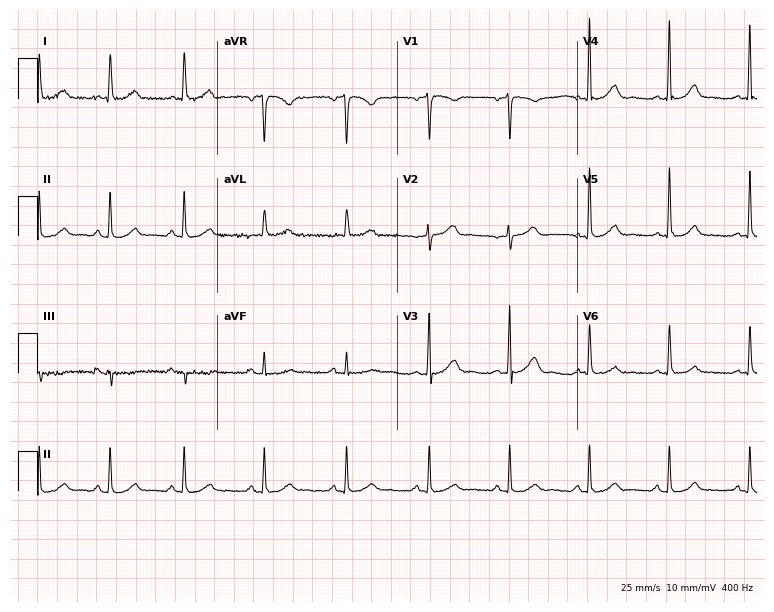
Electrocardiogram (7.3-second recording at 400 Hz), a 49-year-old female patient. Overall reading on record: normal ECG.